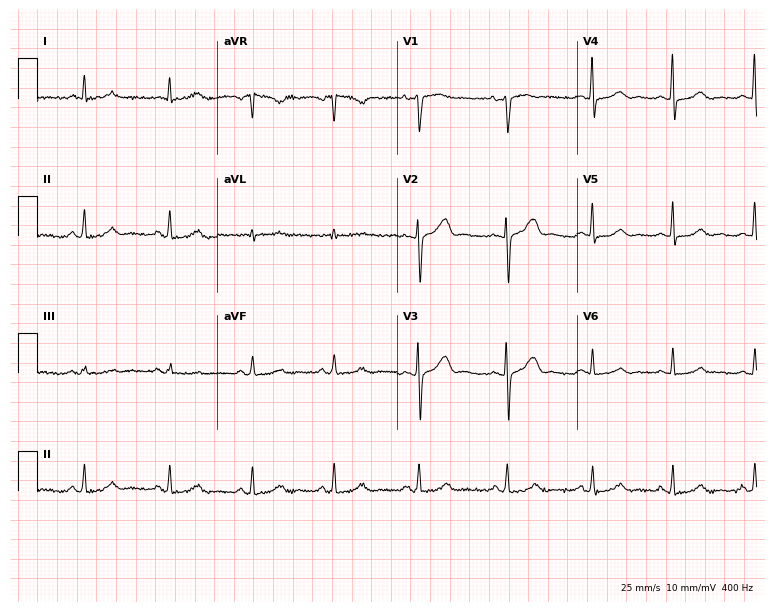
Standard 12-lead ECG recorded from a woman, 51 years old. None of these six findings is recorded: first-degree AV block, right bundle branch block, left bundle branch block, sinus bradycardia, atrial fibrillation, sinus tachycardia. Findings outside these six are not listed.